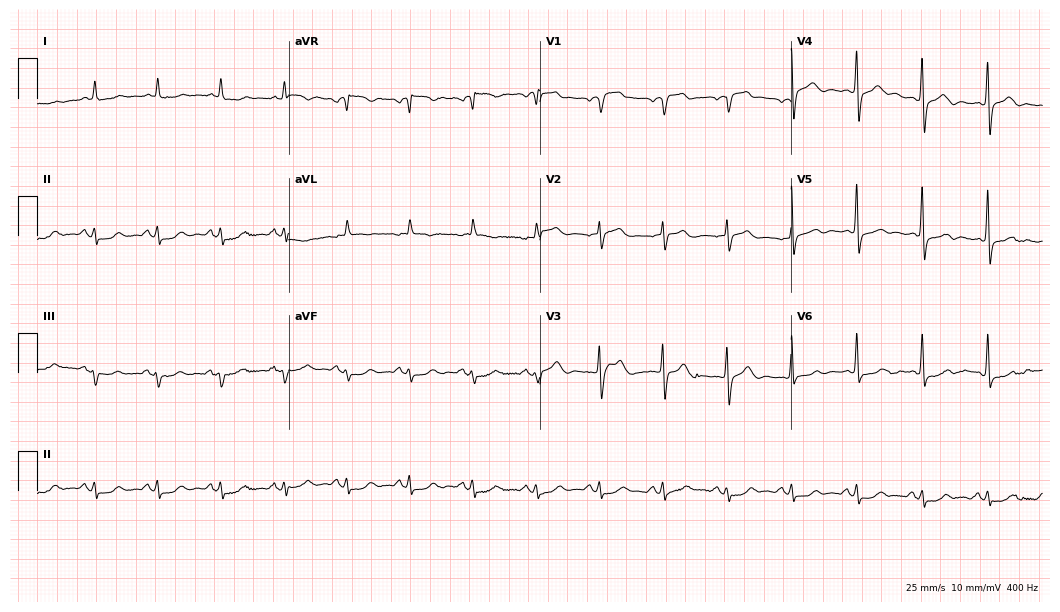
Standard 12-lead ECG recorded from a 75-year-old man (10.2-second recording at 400 Hz). None of these six findings is recorded: first-degree AV block, right bundle branch block (RBBB), left bundle branch block (LBBB), sinus bradycardia, atrial fibrillation (AF), sinus tachycardia. Findings outside these six are not listed.